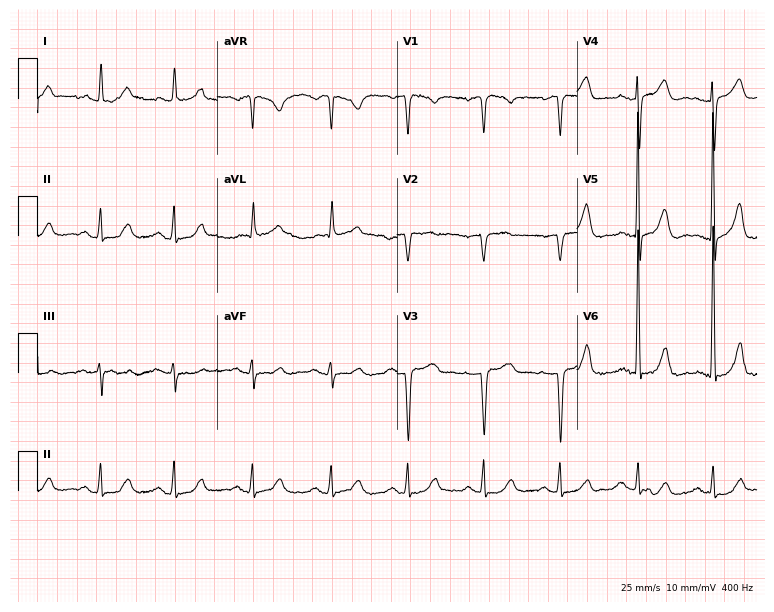
Standard 12-lead ECG recorded from a female, 81 years old. None of these six findings is recorded: first-degree AV block, right bundle branch block, left bundle branch block, sinus bradycardia, atrial fibrillation, sinus tachycardia.